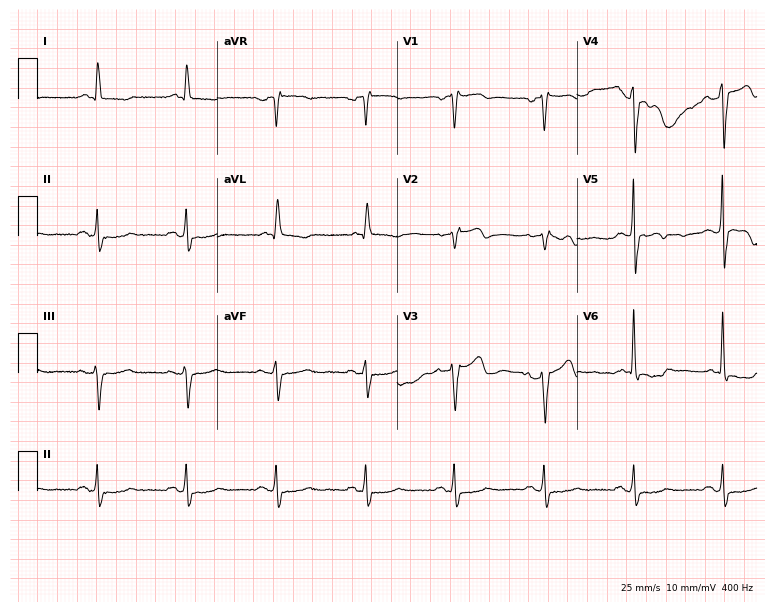
ECG (7.3-second recording at 400 Hz) — a 70-year-old man. Screened for six findings — first-degree AV block, right bundle branch block (RBBB), left bundle branch block (LBBB), sinus bradycardia, atrial fibrillation (AF), sinus tachycardia — none is recorded.